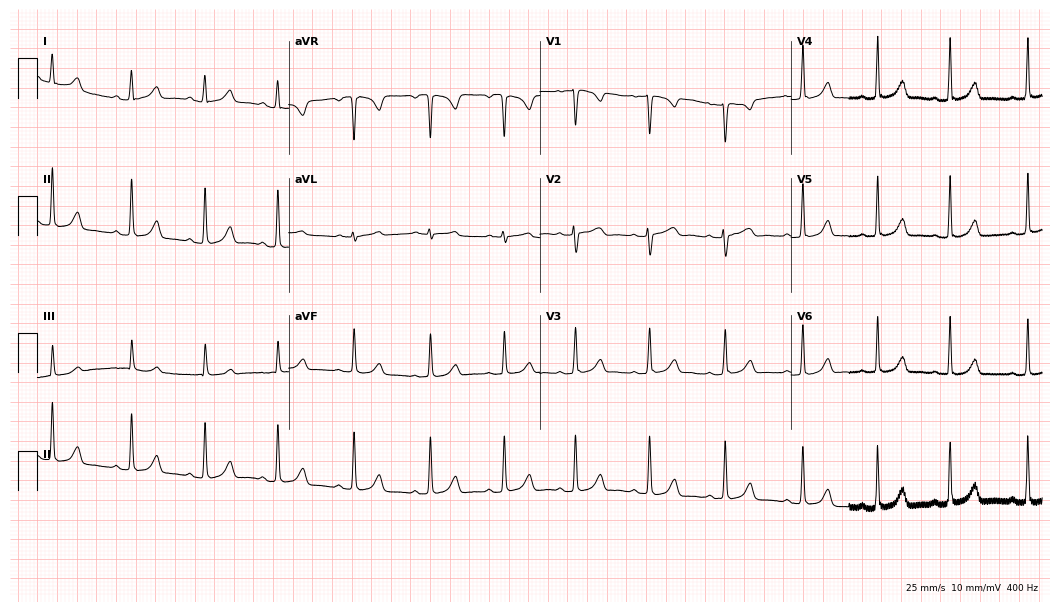
12-lead ECG (10.2-second recording at 400 Hz) from a 20-year-old female. Labelled as a normal ECG.